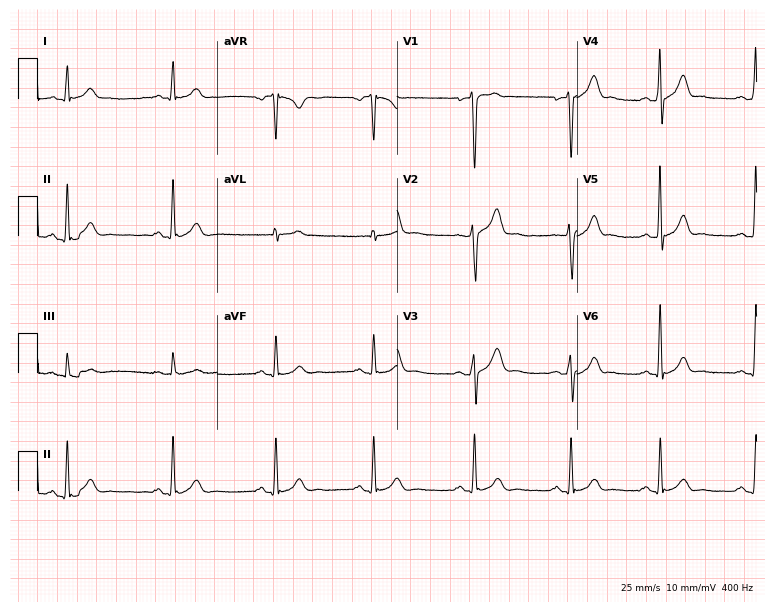
Resting 12-lead electrocardiogram (7.3-second recording at 400 Hz). Patient: a 21-year-old male. Read as a normal ECG.